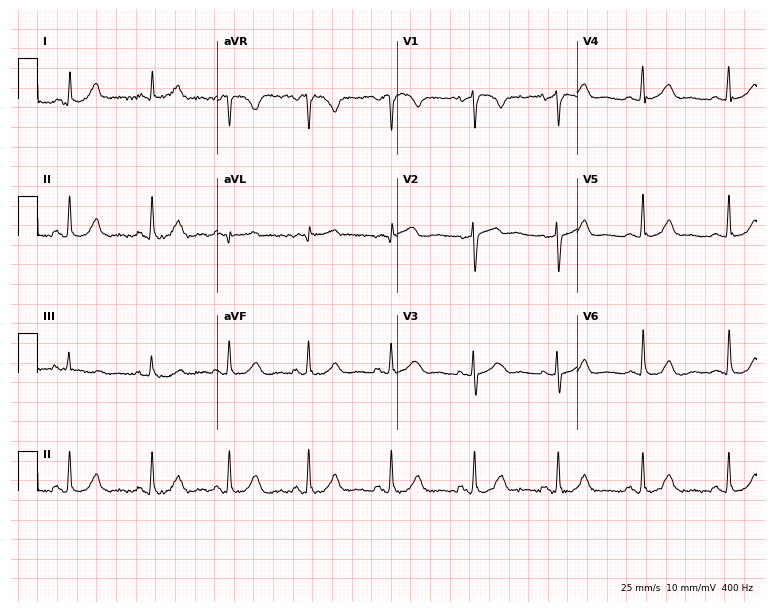
Electrocardiogram (7.3-second recording at 400 Hz), a female patient, 42 years old. Overall reading on record: normal ECG.